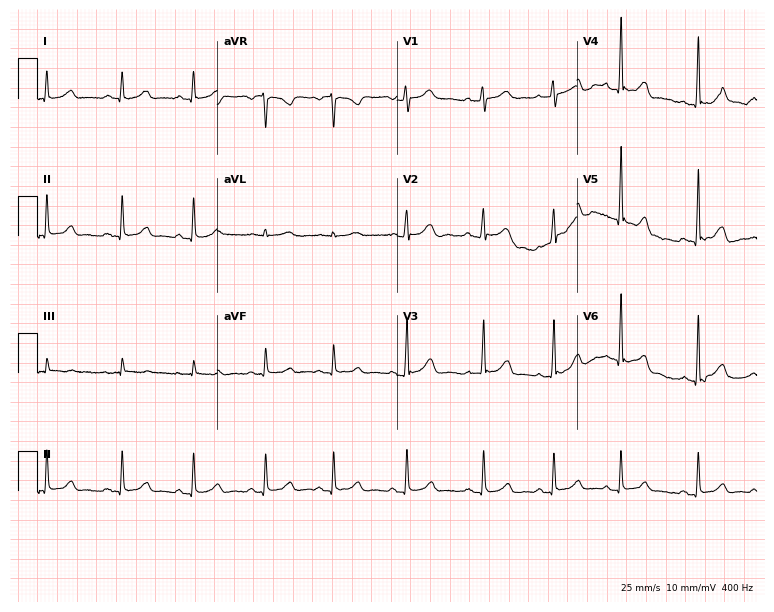
Resting 12-lead electrocardiogram. Patient: a 31-year-old woman. Read as a normal ECG.